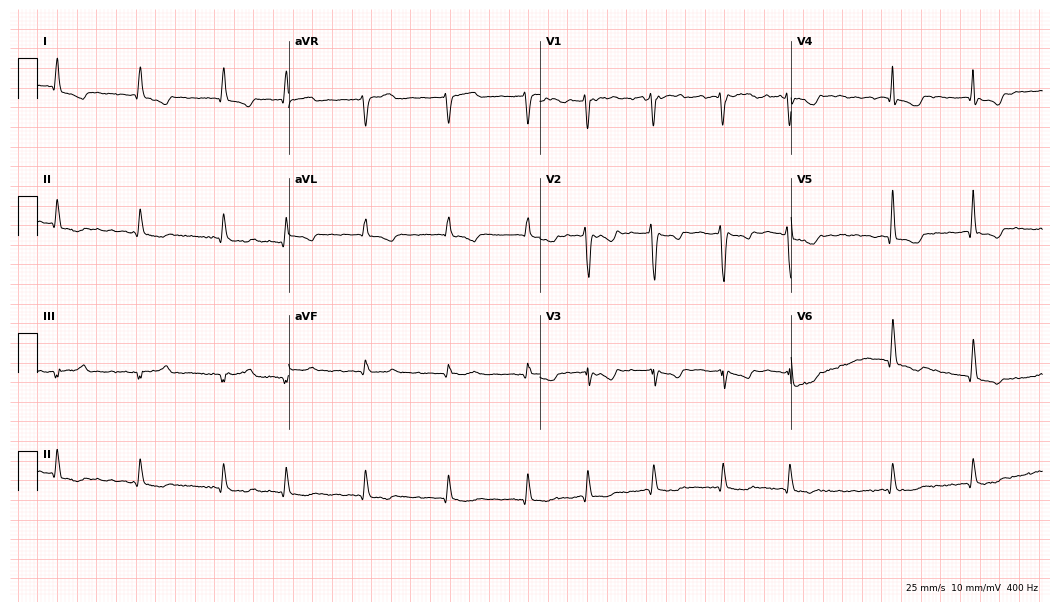
Electrocardiogram (10.2-second recording at 400 Hz), a 79-year-old male. Interpretation includes atrial fibrillation.